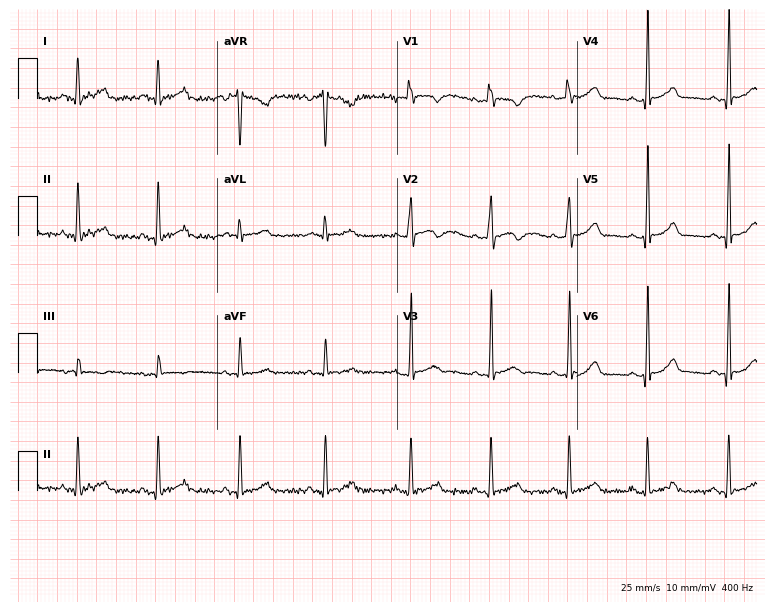
ECG (7.3-second recording at 400 Hz) — a female patient, 26 years old. Labelled as a normal ECG.